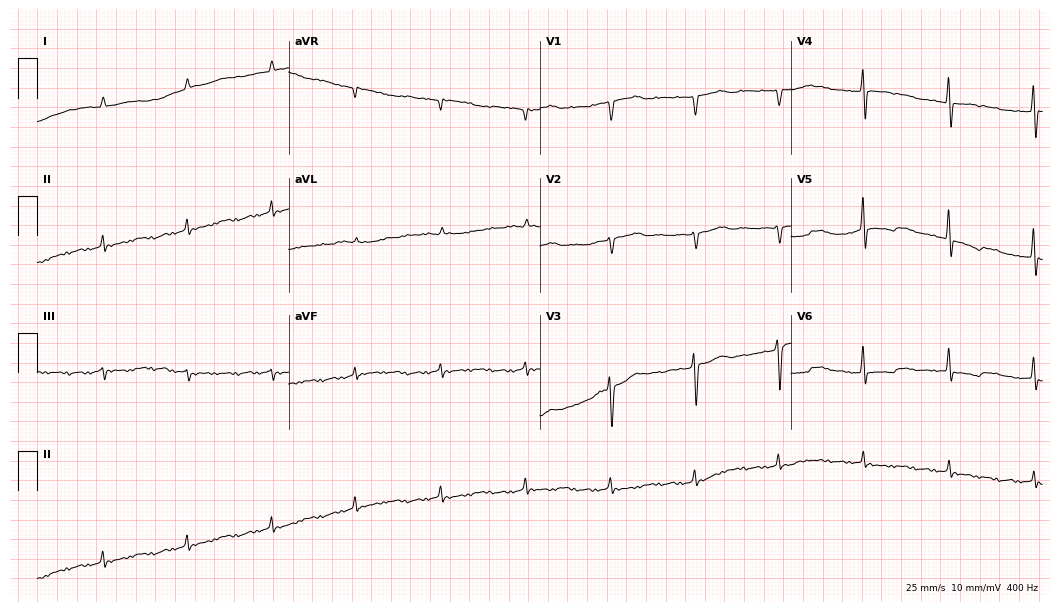
12-lead ECG from a male patient, 77 years old. Screened for six findings — first-degree AV block, right bundle branch block (RBBB), left bundle branch block (LBBB), sinus bradycardia, atrial fibrillation (AF), sinus tachycardia — none is recorded. Other findings, if any, are not listed.